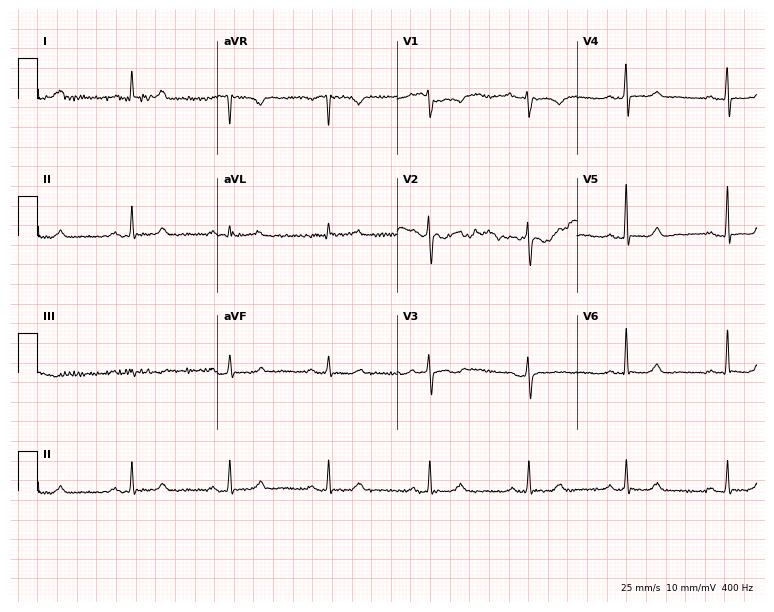
12-lead ECG from a 66-year-old woman. Labelled as a normal ECG.